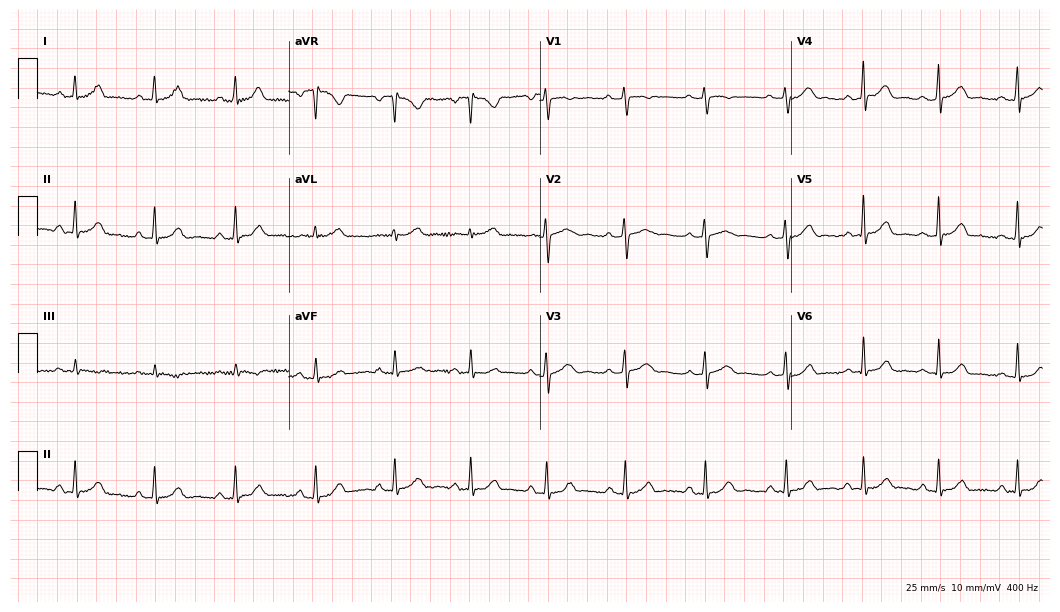
Electrocardiogram, a 28-year-old female patient. Of the six screened findings (first-degree AV block, right bundle branch block, left bundle branch block, sinus bradycardia, atrial fibrillation, sinus tachycardia), none is recorded. Other findings, if any, are not listed.